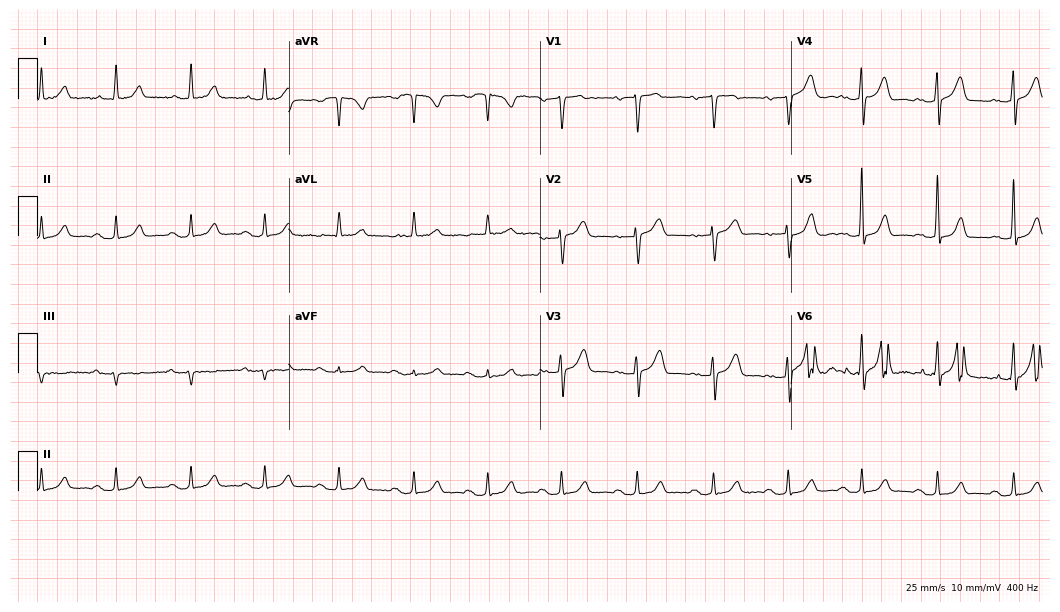
12-lead ECG from a female patient, 66 years old. Labelled as a normal ECG.